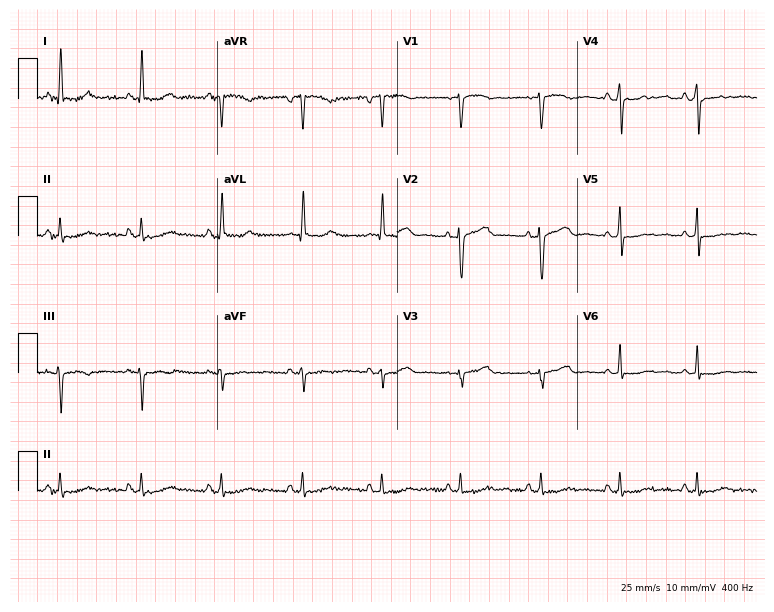
Resting 12-lead electrocardiogram (7.3-second recording at 400 Hz). Patient: a female, 52 years old. None of these six findings is recorded: first-degree AV block, right bundle branch block (RBBB), left bundle branch block (LBBB), sinus bradycardia, atrial fibrillation (AF), sinus tachycardia. Findings outside these six are not listed.